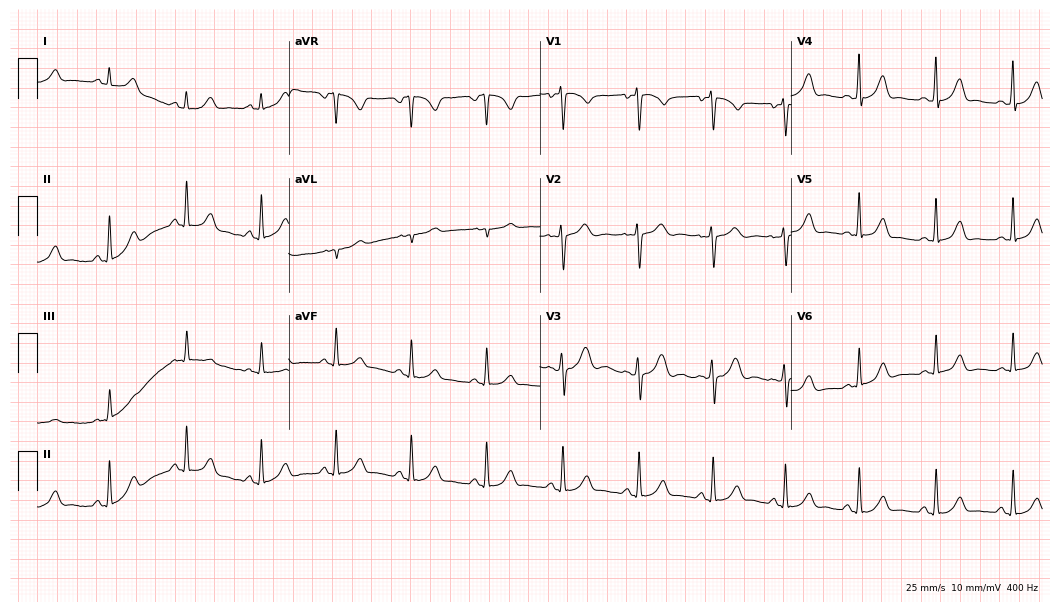
ECG (10.2-second recording at 400 Hz) — a female, 22 years old. Labelled as a normal ECG.